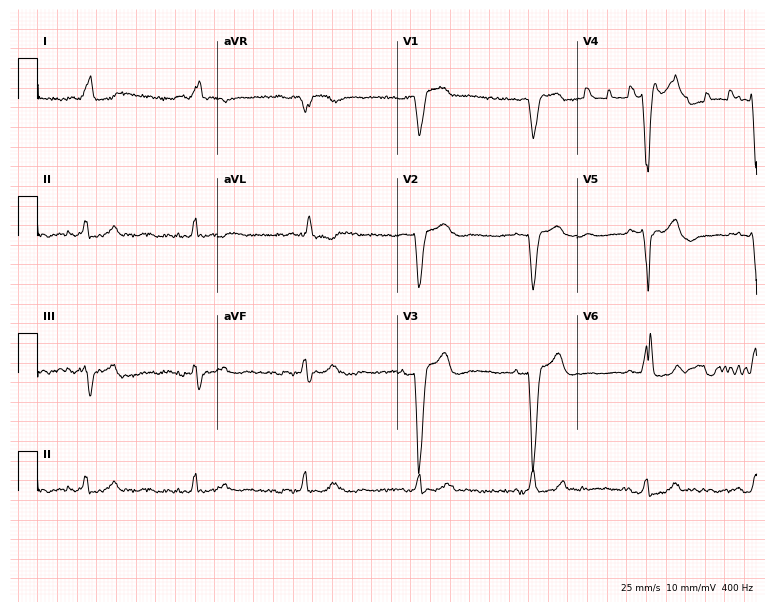
12-lead ECG from an 82-year-old male. Findings include left bundle branch block (LBBB).